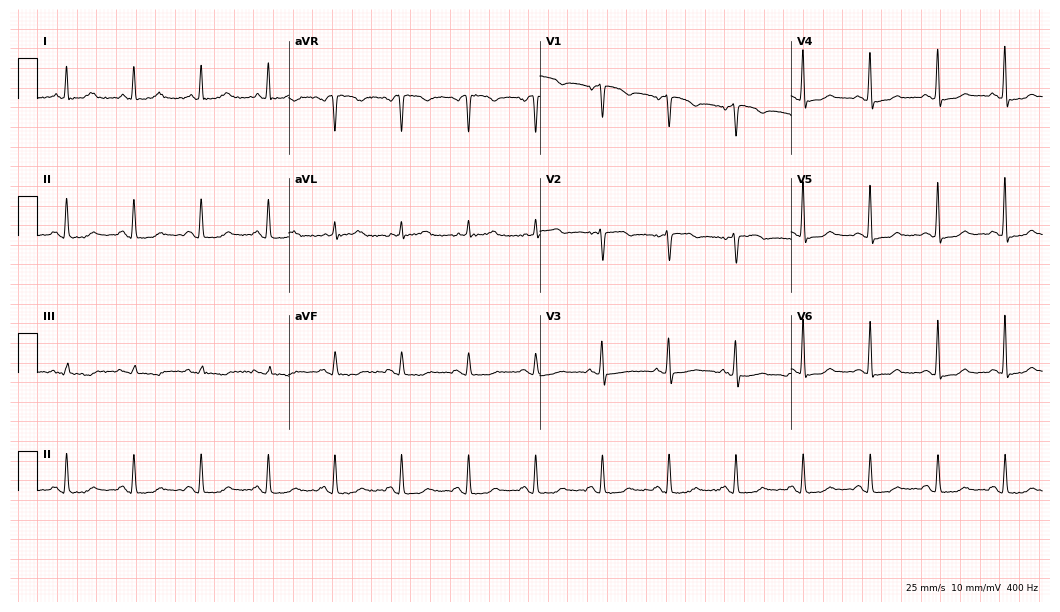
12-lead ECG (10.2-second recording at 400 Hz) from a 62-year-old female patient. Labelled as a normal ECG.